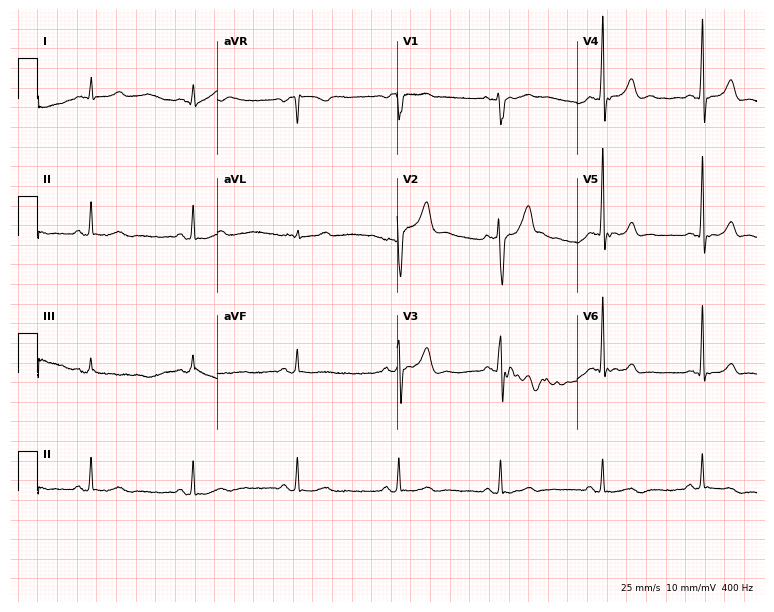
ECG — a man, 59 years old. Screened for six findings — first-degree AV block, right bundle branch block (RBBB), left bundle branch block (LBBB), sinus bradycardia, atrial fibrillation (AF), sinus tachycardia — none is recorded.